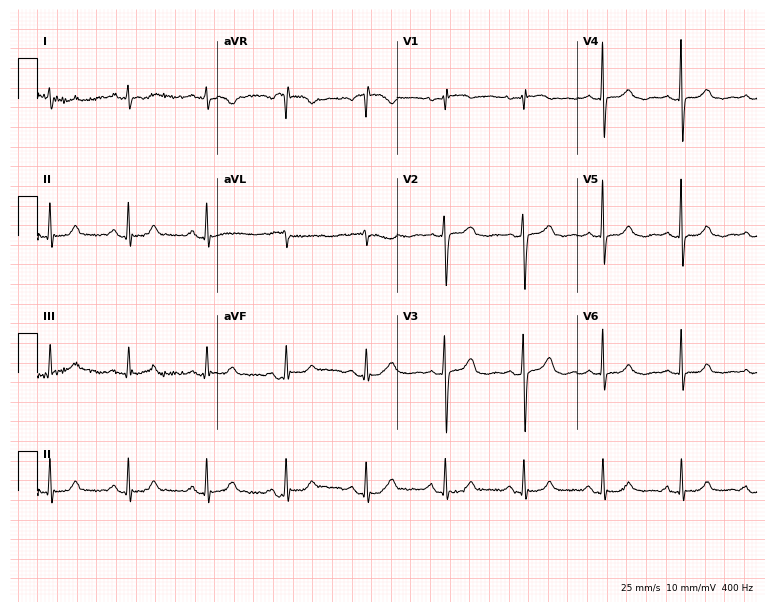
Standard 12-lead ECG recorded from a 77-year-old female (7.3-second recording at 400 Hz). None of these six findings is recorded: first-degree AV block, right bundle branch block, left bundle branch block, sinus bradycardia, atrial fibrillation, sinus tachycardia.